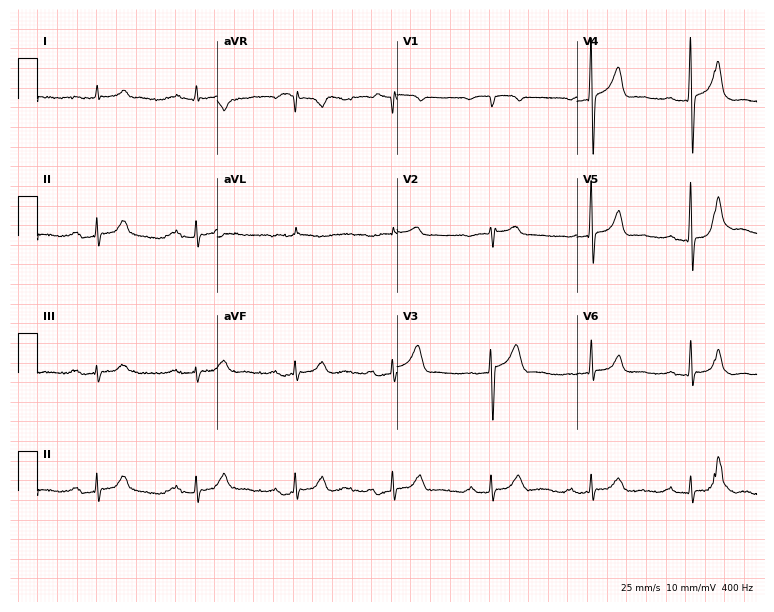
Standard 12-lead ECG recorded from a 76-year-old male. None of these six findings is recorded: first-degree AV block, right bundle branch block (RBBB), left bundle branch block (LBBB), sinus bradycardia, atrial fibrillation (AF), sinus tachycardia. Only these six findings were labelled.